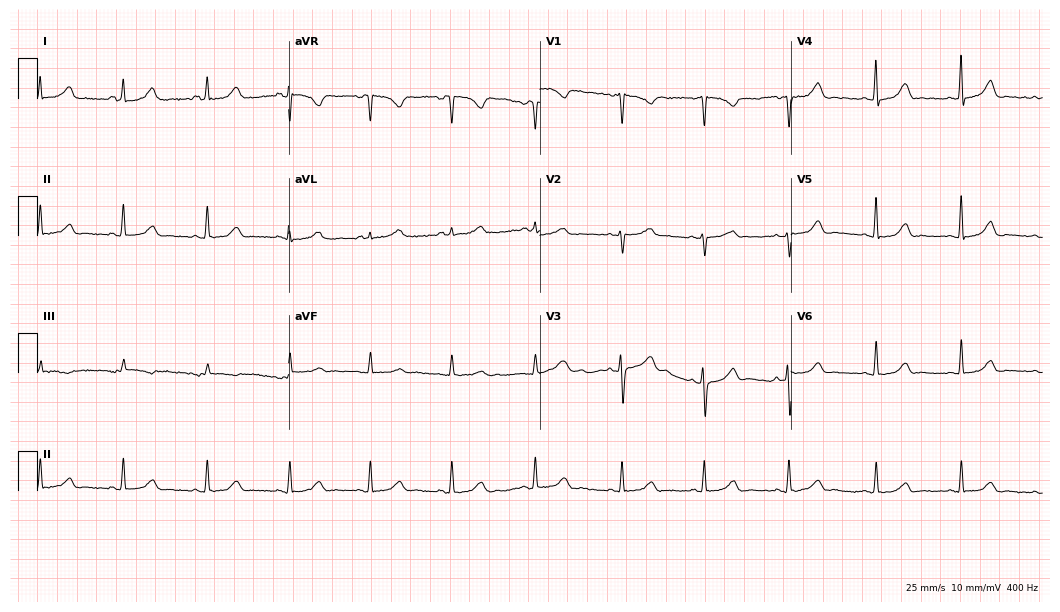
ECG (10.2-second recording at 400 Hz) — a 43-year-old woman. Screened for six findings — first-degree AV block, right bundle branch block (RBBB), left bundle branch block (LBBB), sinus bradycardia, atrial fibrillation (AF), sinus tachycardia — none is recorded.